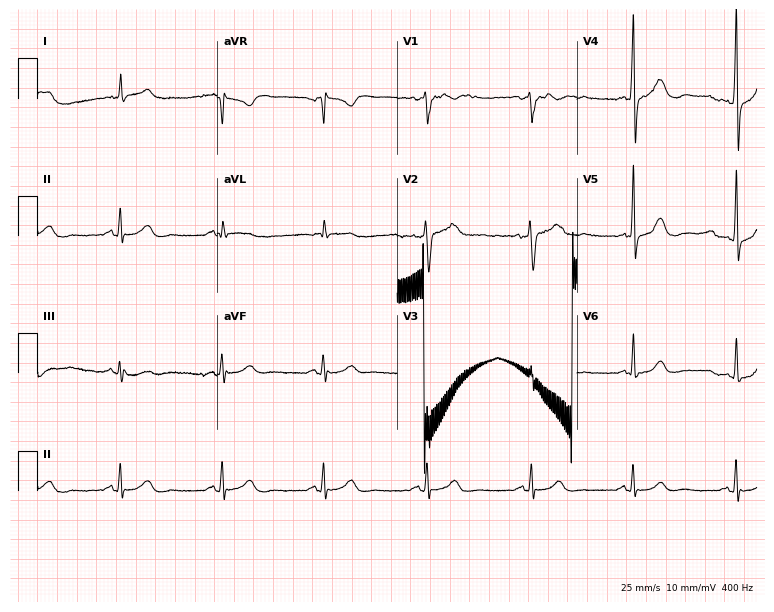
Electrocardiogram, a man, 51 years old. Overall reading on record: normal ECG.